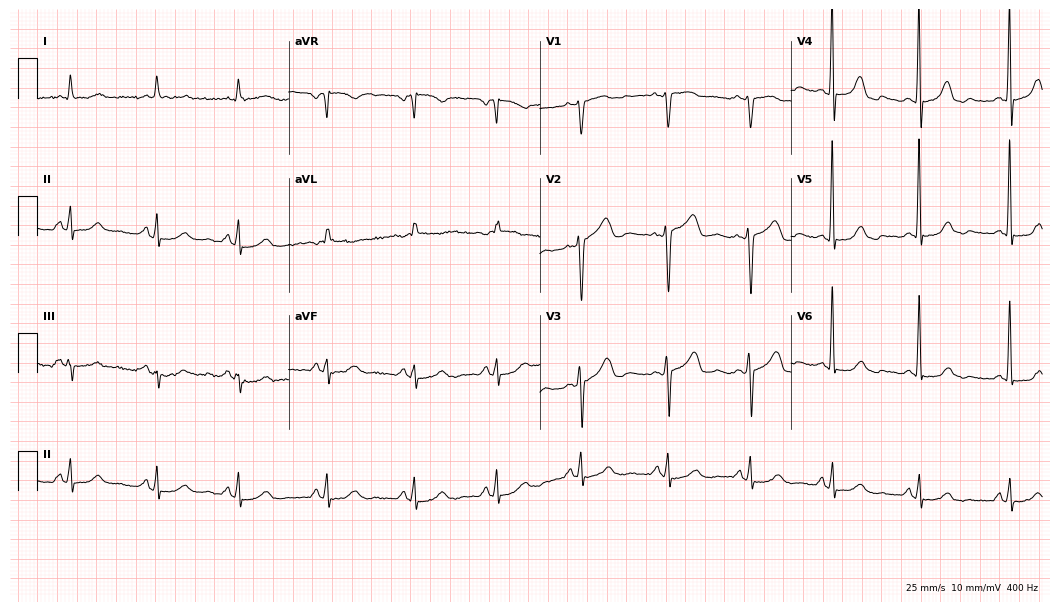
Electrocardiogram, a woman, 51 years old. Of the six screened findings (first-degree AV block, right bundle branch block, left bundle branch block, sinus bradycardia, atrial fibrillation, sinus tachycardia), none is recorded. Only these six findings were labelled.